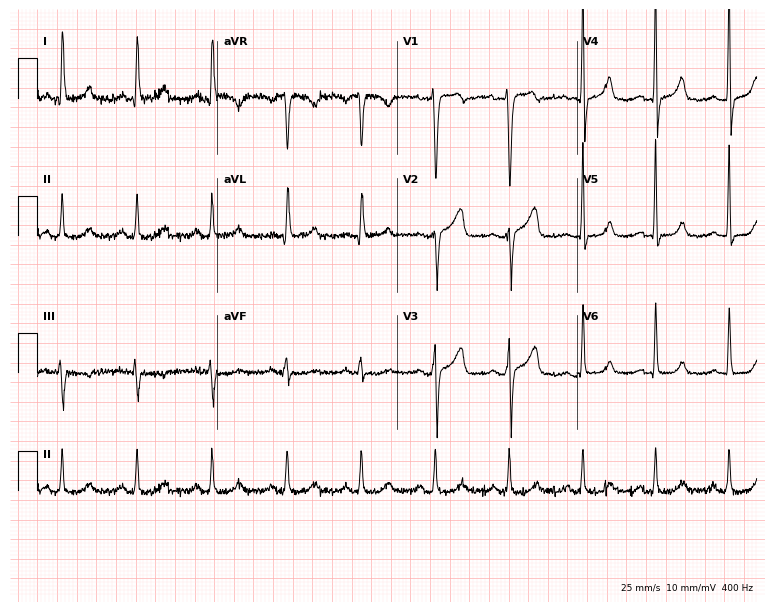
Electrocardiogram (7.3-second recording at 400 Hz), a 54-year-old man. Of the six screened findings (first-degree AV block, right bundle branch block, left bundle branch block, sinus bradycardia, atrial fibrillation, sinus tachycardia), none is recorded. Other findings, if any, are not listed.